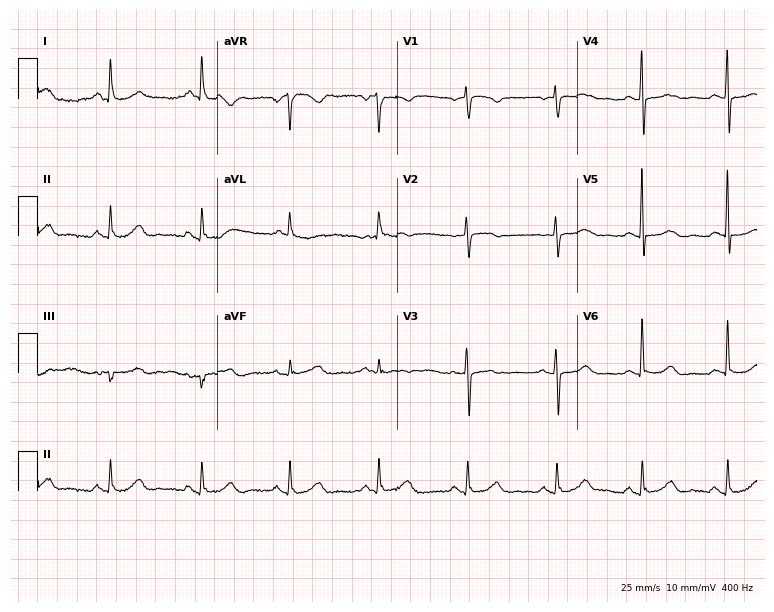
Standard 12-lead ECG recorded from a female, 67 years old. None of these six findings is recorded: first-degree AV block, right bundle branch block, left bundle branch block, sinus bradycardia, atrial fibrillation, sinus tachycardia. Findings outside these six are not listed.